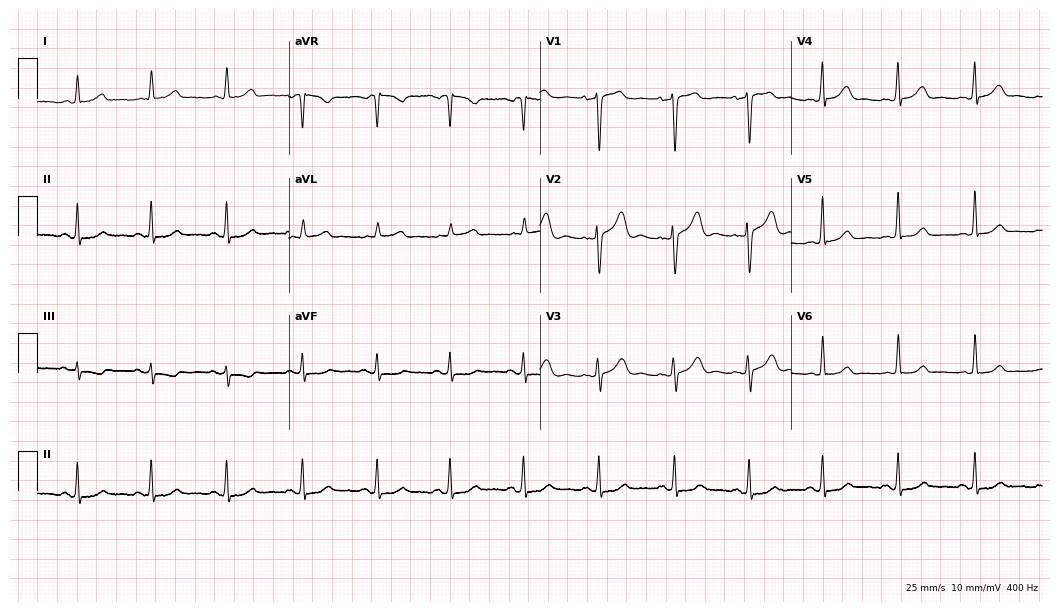
Electrocardiogram, a female patient, 44 years old. Overall reading on record: normal ECG.